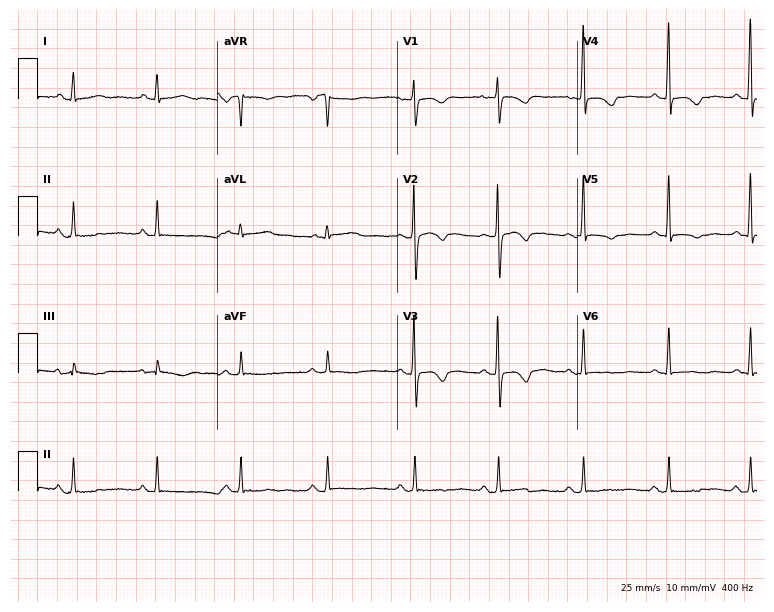
Electrocardiogram (7.3-second recording at 400 Hz), a 41-year-old female patient. Of the six screened findings (first-degree AV block, right bundle branch block, left bundle branch block, sinus bradycardia, atrial fibrillation, sinus tachycardia), none is recorded.